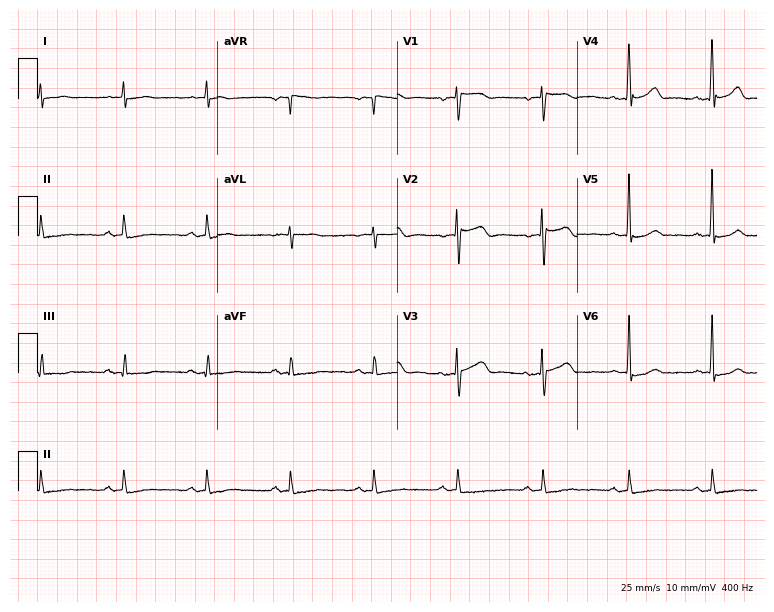
12-lead ECG (7.3-second recording at 400 Hz) from a female patient, 61 years old. Screened for six findings — first-degree AV block, right bundle branch block (RBBB), left bundle branch block (LBBB), sinus bradycardia, atrial fibrillation (AF), sinus tachycardia — none is recorded. Other findings, if any, are not listed.